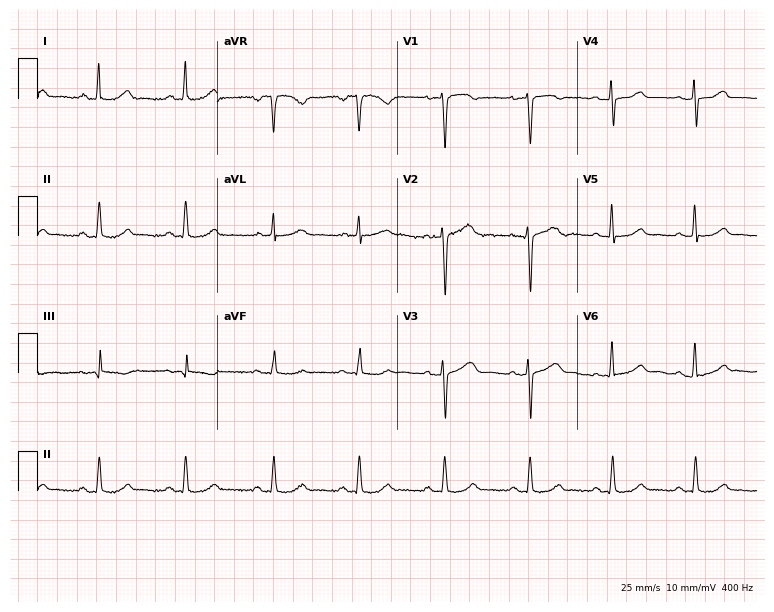
12-lead ECG from a 54-year-old female patient (7.3-second recording at 400 Hz). No first-degree AV block, right bundle branch block, left bundle branch block, sinus bradycardia, atrial fibrillation or sinus tachycardia recorded for this tracing. Findings outside these six are not listed.